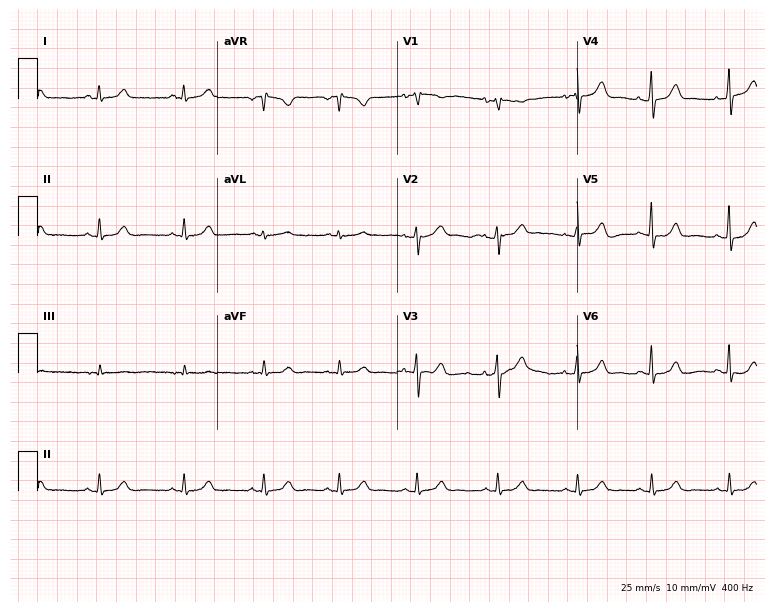
ECG (7.3-second recording at 400 Hz) — a 33-year-old female patient. Screened for six findings — first-degree AV block, right bundle branch block (RBBB), left bundle branch block (LBBB), sinus bradycardia, atrial fibrillation (AF), sinus tachycardia — none is recorded. Findings outside these six are not listed.